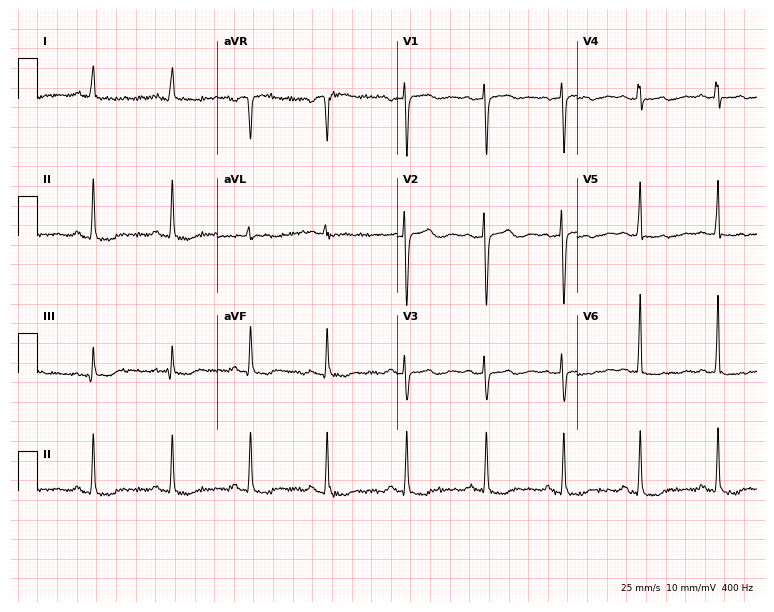
Resting 12-lead electrocardiogram (7.3-second recording at 400 Hz). Patient: a female, 66 years old. None of these six findings is recorded: first-degree AV block, right bundle branch block, left bundle branch block, sinus bradycardia, atrial fibrillation, sinus tachycardia. Only these six findings were labelled.